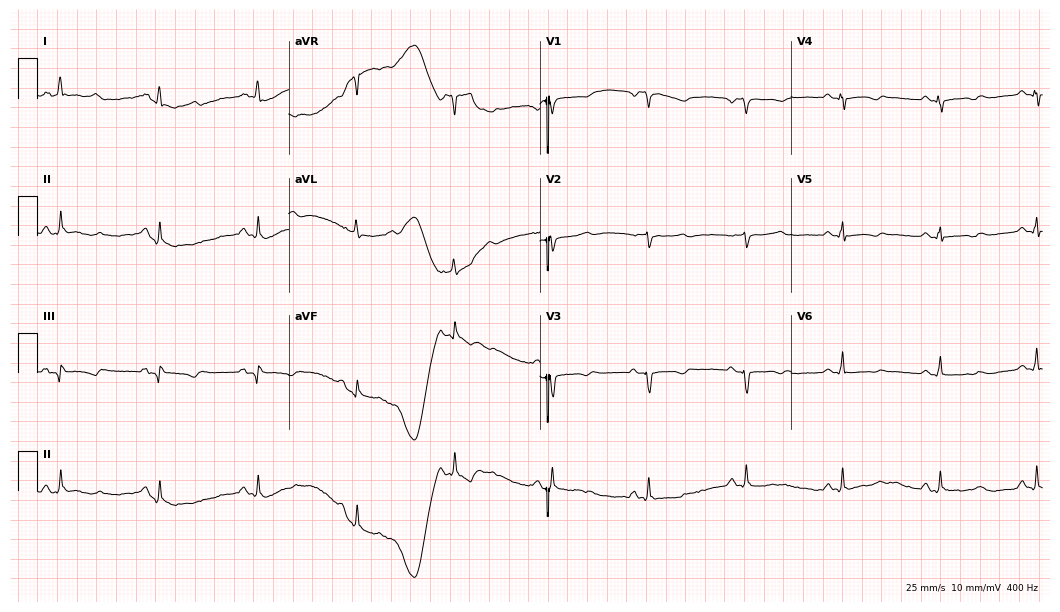
12-lead ECG (10.2-second recording at 400 Hz) from a 71-year-old female patient. Labelled as a normal ECG.